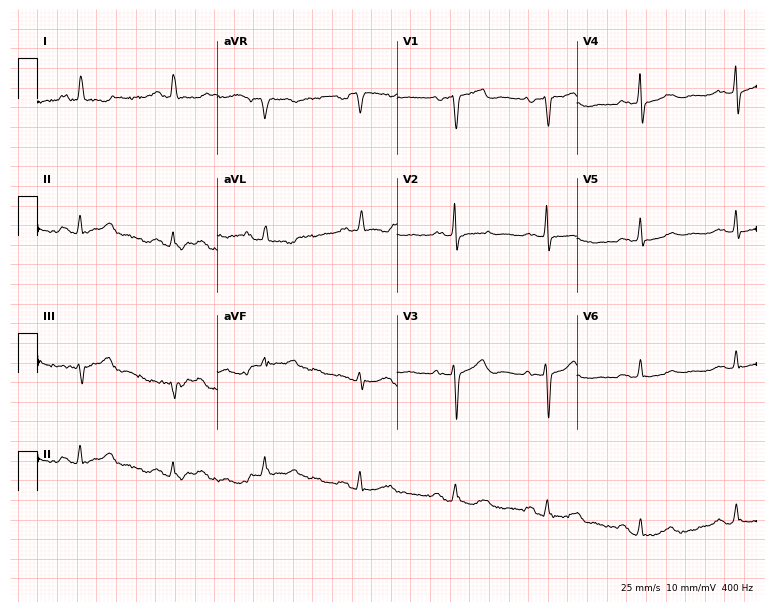
Resting 12-lead electrocardiogram. Patient: a female, 77 years old. None of these six findings is recorded: first-degree AV block, right bundle branch block, left bundle branch block, sinus bradycardia, atrial fibrillation, sinus tachycardia. Other findings, if any, are not listed.